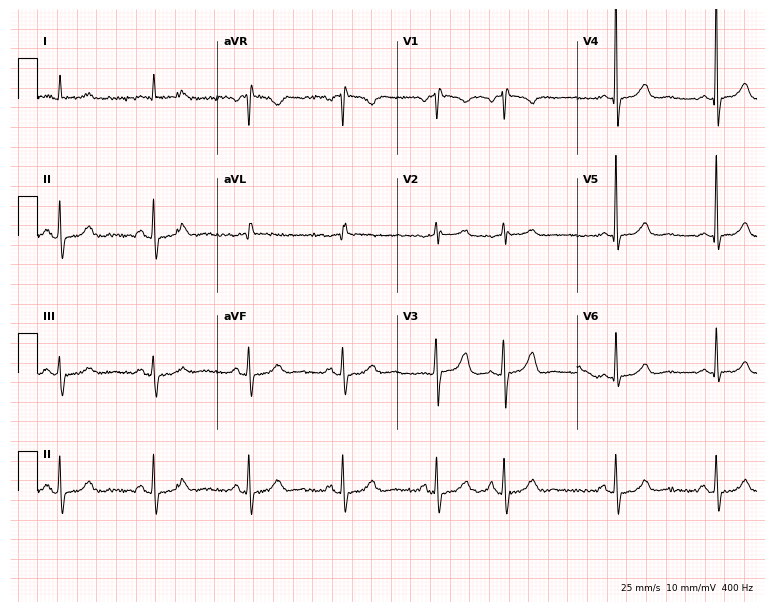
Electrocardiogram (7.3-second recording at 400 Hz), a 78-year-old male patient. Of the six screened findings (first-degree AV block, right bundle branch block, left bundle branch block, sinus bradycardia, atrial fibrillation, sinus tachycardia), none is recorded.